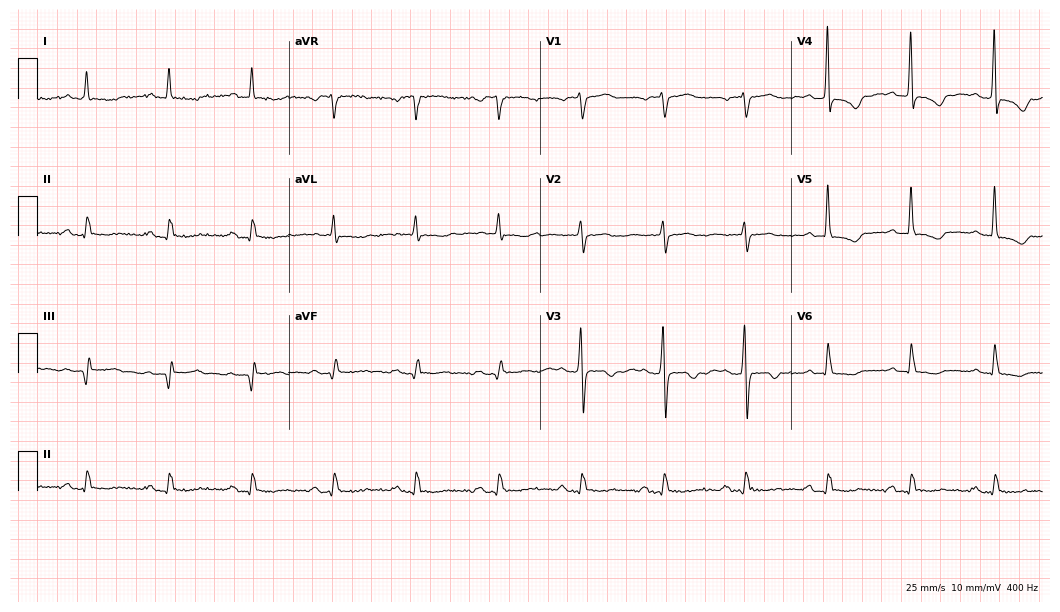
12-lead ECG from a woman, 76 years old. No first-degree AV block, right bundle branch block, left bundle branch block, sinus bradycardia, atrial fibrillation or sinus tachycardia recorded for this tracing.